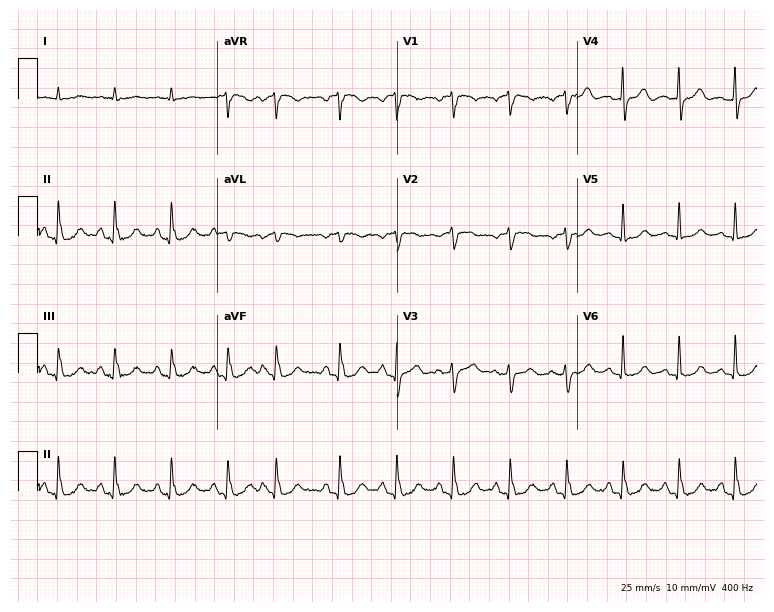
12-lead ECG from an 85-year-old male patient (7.3-second recording at 400 Hz). Shows sinus tachycardia (a sinus rate of 100 beats per minute or more).